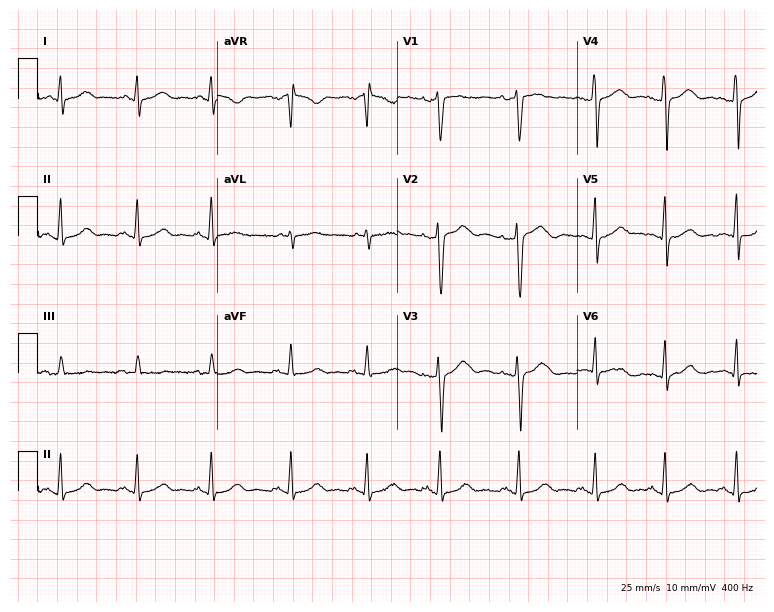
Standard 12-lead ECG recorded from a female, 35 years old. None of these six findings is recorded: first-degree AV block, right bundle branch block, left bundle branch block, sinus bradycardia, atrial fibrillation, sinus tachycardia. Only these six findings were labelled.